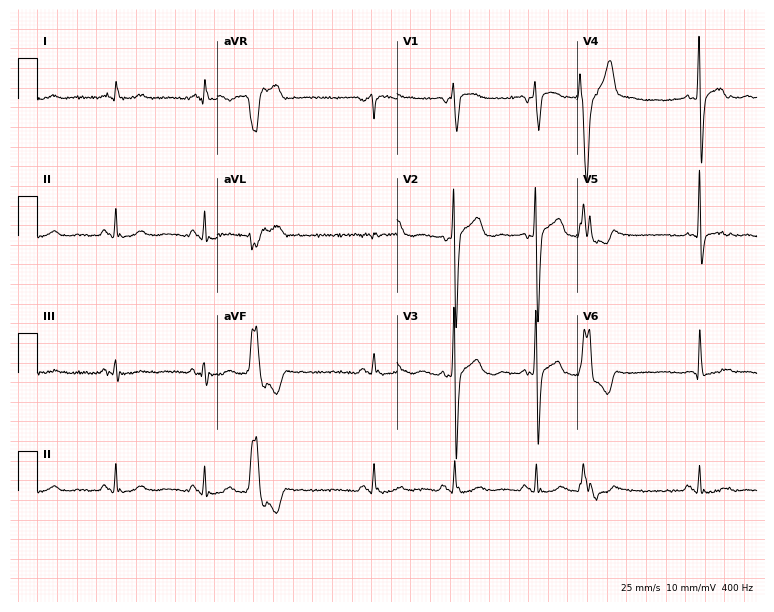
Resting 12-lead electrocardiogram (7.3-second recording at 400 Hz). Patient: a 74-year-old male. None of these six findings is recorded: first-degree AV block, right bundle branch block, left bundle branch block, sinus bradycardia, atrial fibrillation, sinus tachycardia.